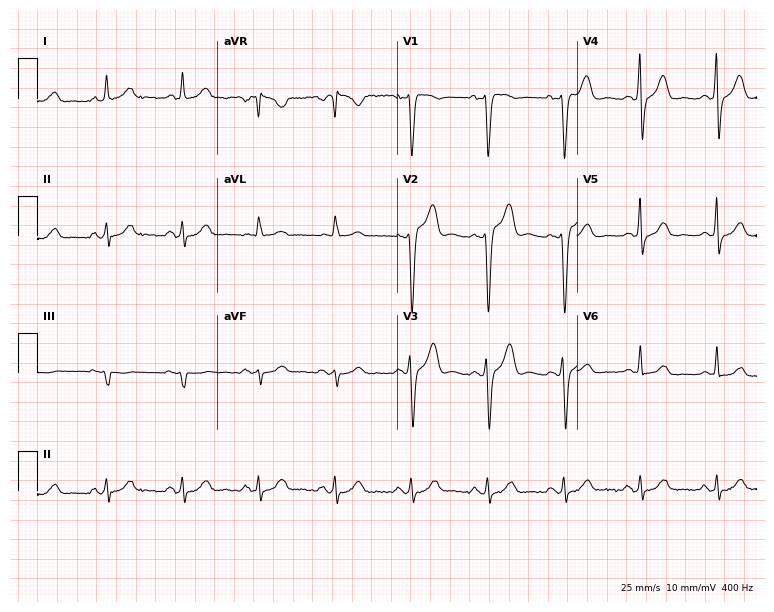
12-lead ECG from a male patient, 61 years old. Screened for six findings — first-degree AV block, right bundle branch block, left bundle branch block, sinus bradycardia, atrial fibrillation, sinus tachycardia — none is recorded.